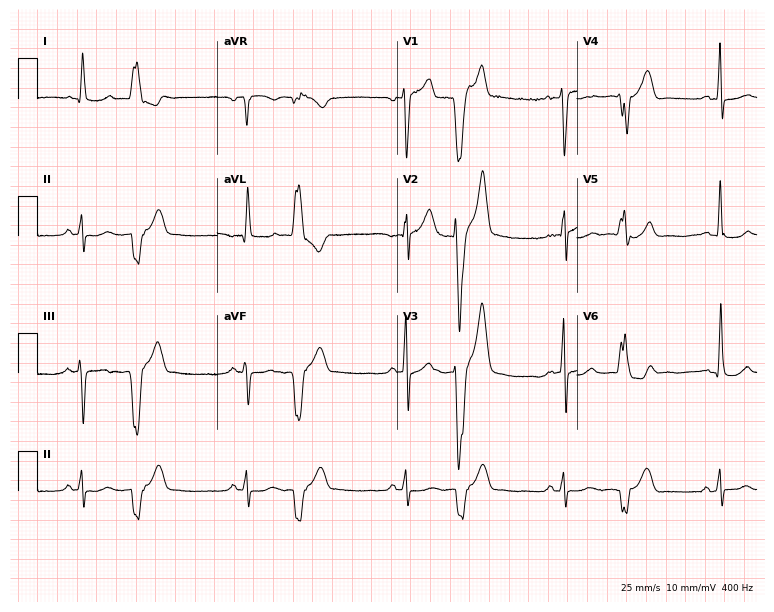
Standard 12-lead ECG recorded from a 65-year-old male (7.3-second recording at 400 Hz). None of these six findings is recorded: first-degree AV block, right bundle branch block (RBBB), left bundle branch block (LBBB), sinus bradycardia, atrial fibrillation (AF), sinus tachycardia. Findings outside these six are not listed.